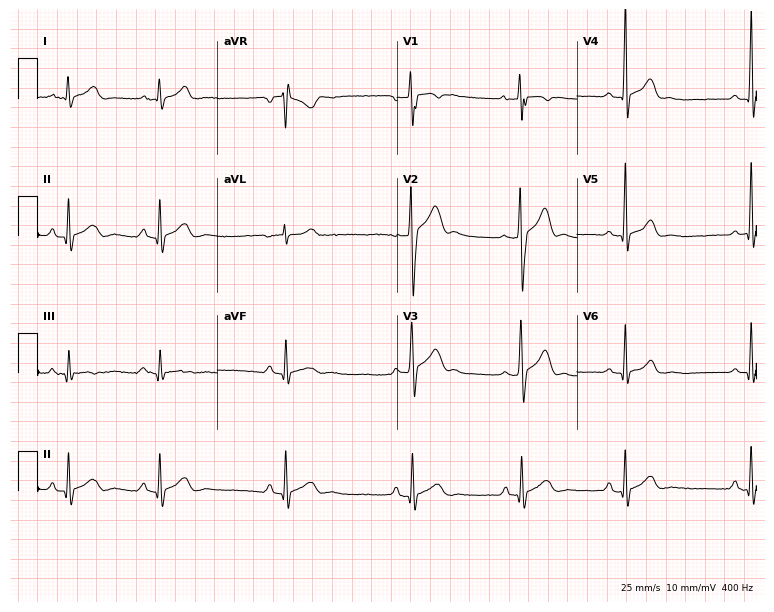
Resting 12-lead electrocardiogram (7.3-second recording at 400 Hz). Patient: a male, 23 years old. None of these six findings is recorded: first-degree AV block, right bundle branch block, left bundle branch block, sinus bradycardia, atrial fibrillation, sinus tachycardia.